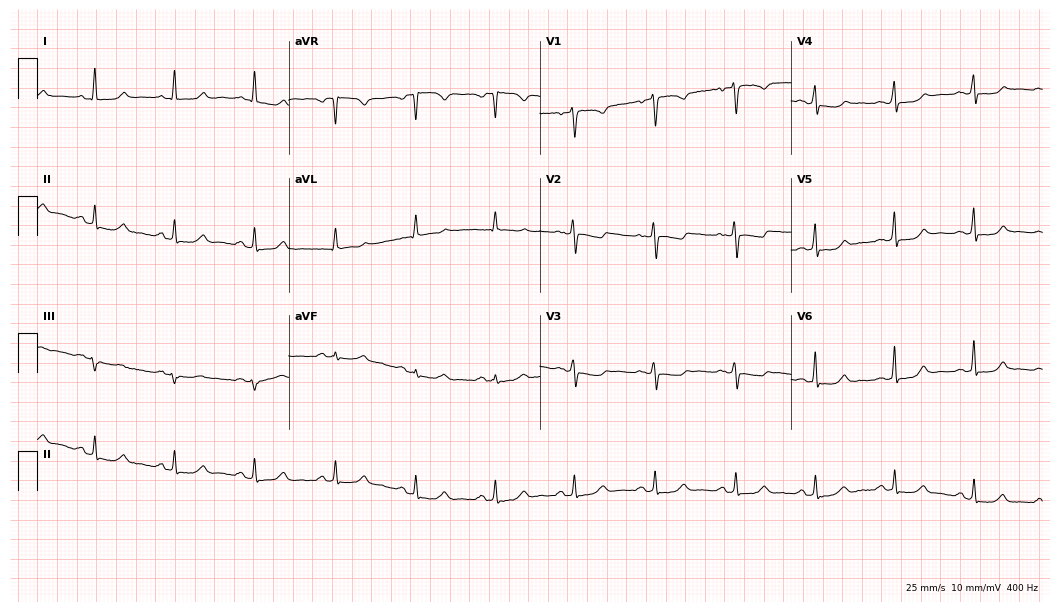
12-lead ECG from a 42-year-old female. Labelled as a normal ECG.